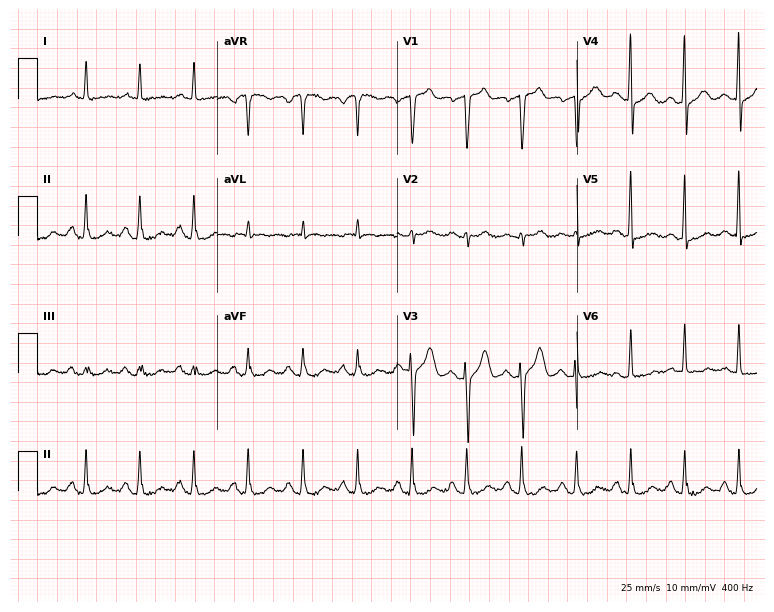
Resting 12-lead electrocardiogram. Patient: a 75-year-old man. The tracing shows sinus tachycardia (a sinus rate of 100 beats per minute or more).